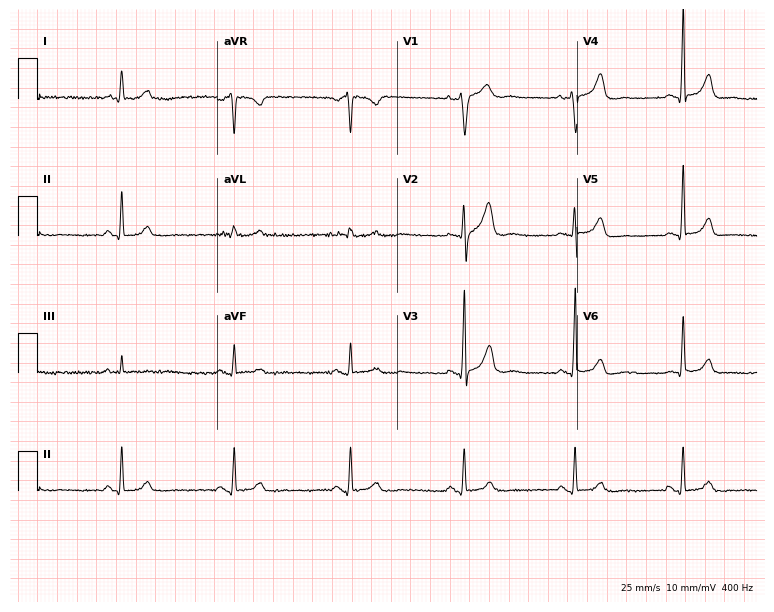
Standard 12-lead ECG recorded from a man, 48 years old (7.3-second recording at 400 Hz). None of these six findings is recorded: first-degree AV block, right bundle branch block, left bundle branch block, sinus bradycardia, atrial fibrillation, sinus tachycardia.